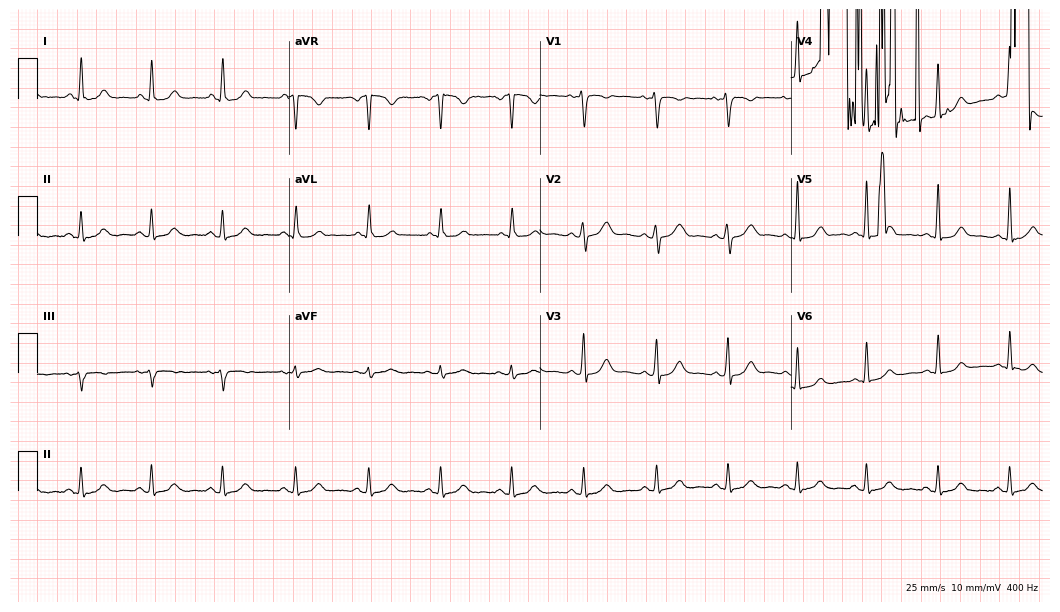
12-lead ECG from a female, 38 years old. No first-degree AV block, right bundle branch block, left bundle branch block, sinus bradycardia, atrial fibrillation or sinus tachycardia recorded for this tracing. Findings outside these six are not listed.